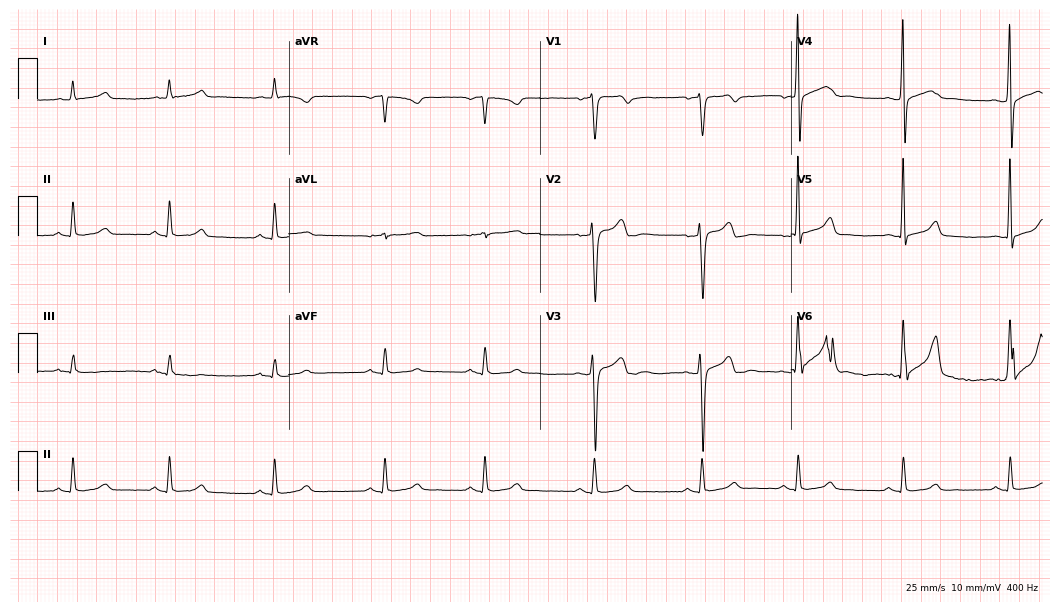
Resting 12-lead electrocardiogram (10.2-second recording at 400 Hz). Patient: a 38-year-old male. Read as a normal ECG.